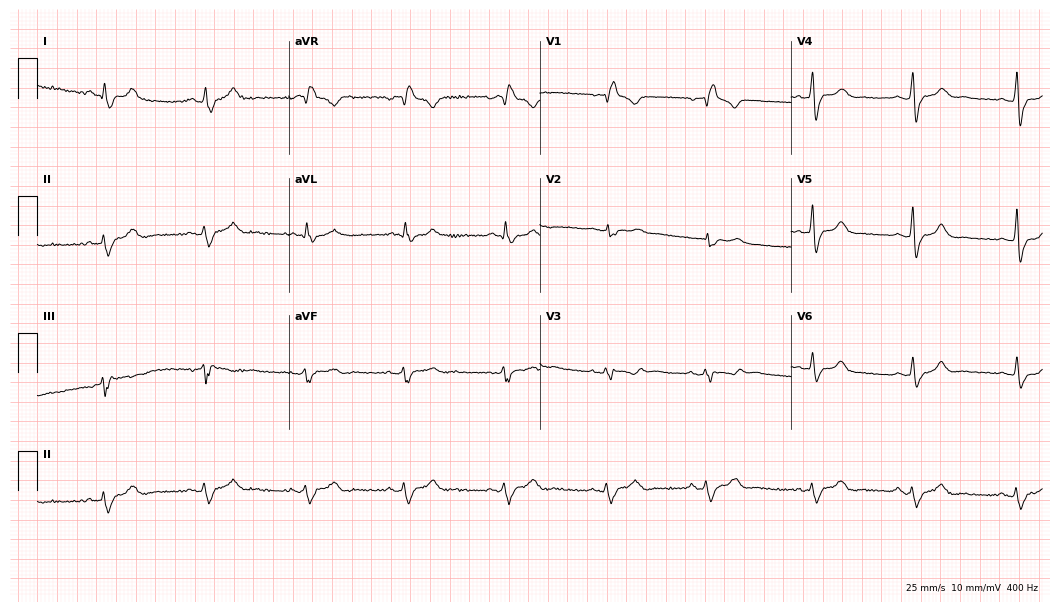
12-lead ECG from a 62-year-old female (10.2-second recording at 400 Hz). Shows right bundle branch block.